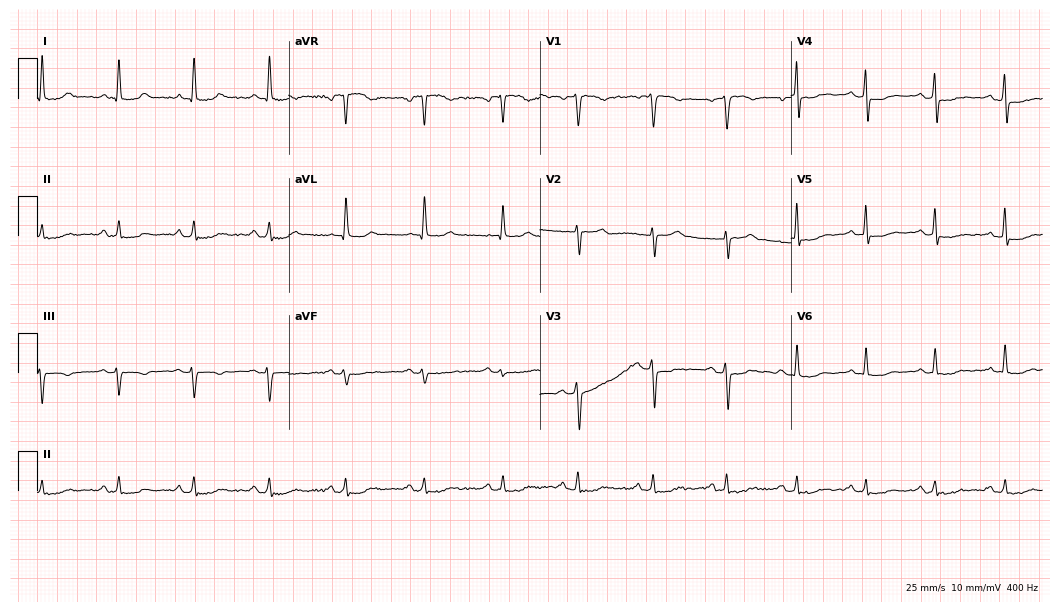
Resting 12-lead electrocardiogram. Patient: a 52-year-old man. None of these six findings is recorded: first-degree AV block, right bundle branch block, left bundle branch block, sinus bradycardia, atrial fibrillation, sinus tachycardia.